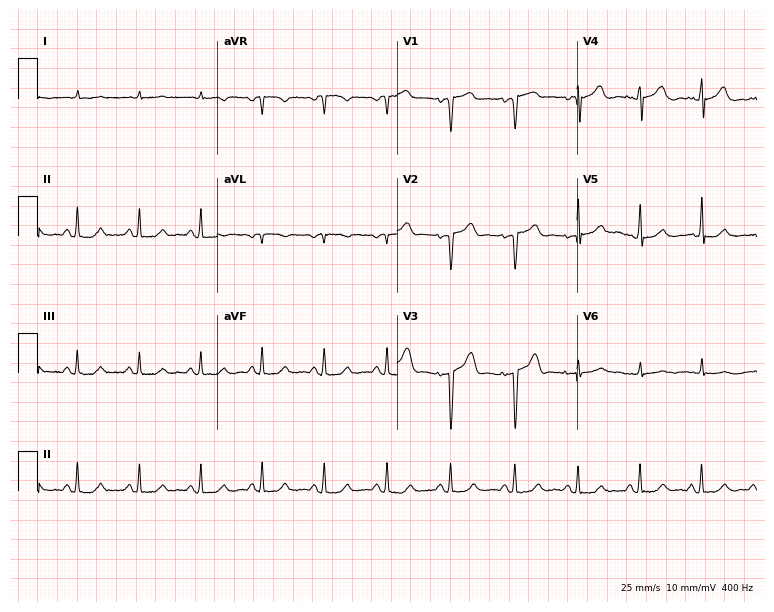
Standard 12-lead ECG recorded from a 68-year-old male (7.3-second recording at 400 Hz). None of these six findings is recorded: first-degree AV block, right bundle branch block (RBBB), left bundle branch block (LBBB), sinus bradycardia, atrial fibrillation (AF), sinus tachycardia.